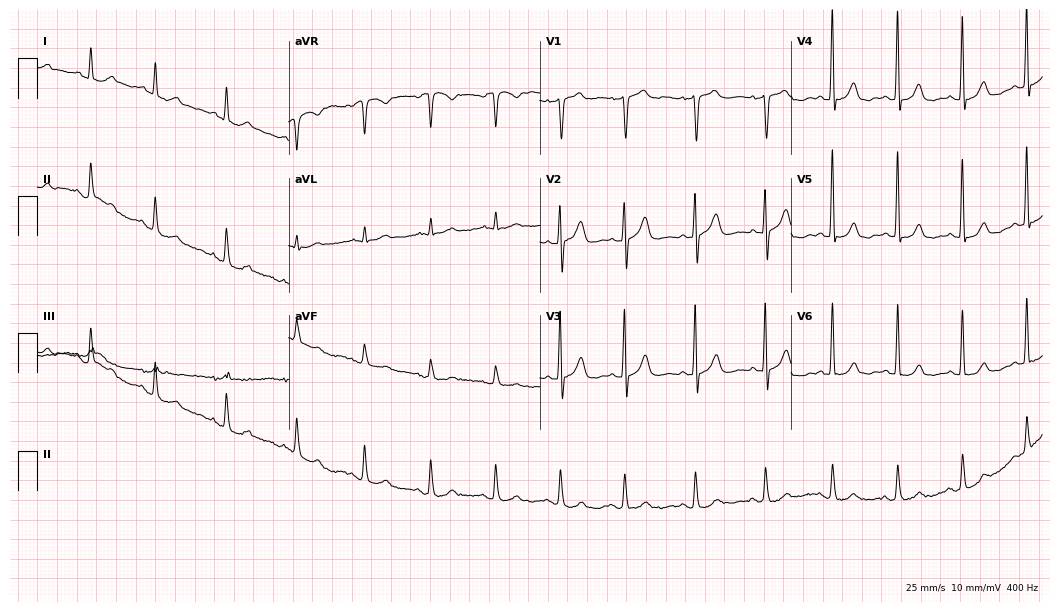
12-lead ECG from a 77-year-old male (10.2-second recording at 400 Hz). Recorded interpretation: within normal limits.